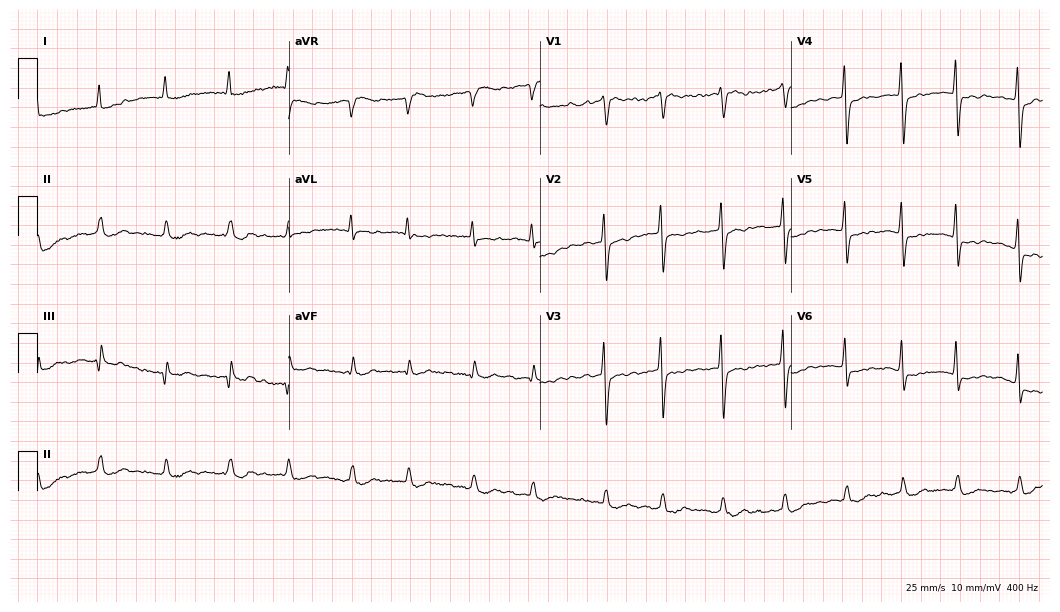
12-lead ECG from a female patient, 81 years old. Shows atrial fibrillation (AF).